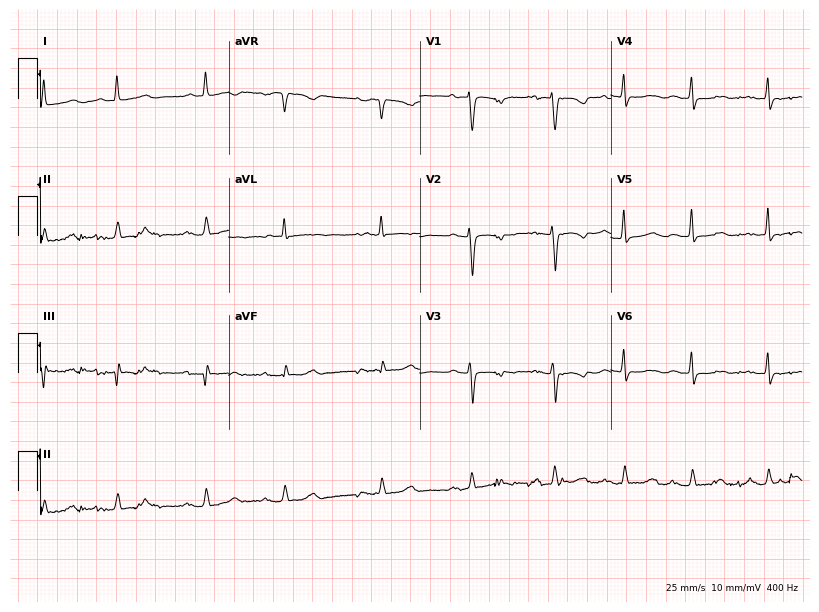
Standard 12-lead ECG recorded from a female, 84 years old. None of these six findings is recorded: first-degree AV block, right bundle branch block, left bundle branch block, sinus bradycardia, atrial fibrillation, sinus tachycardia.